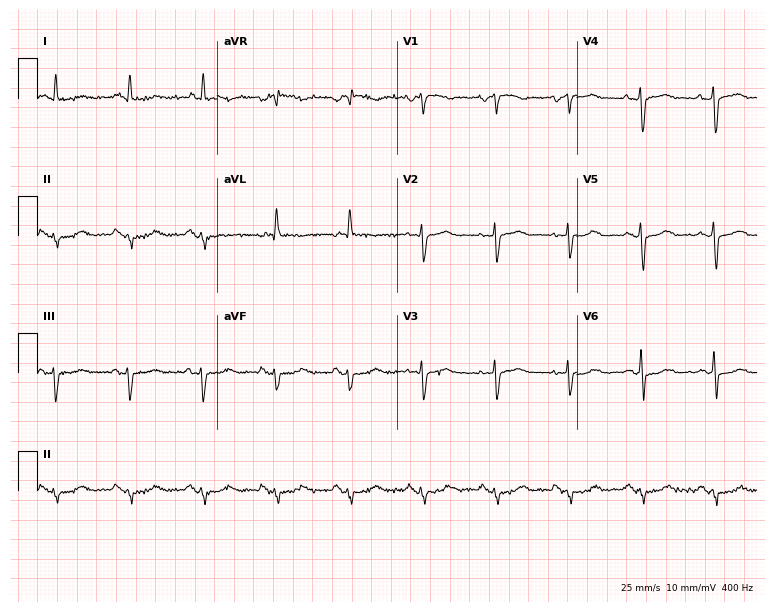
12-lead ECG from a female patient, 74 years old. Screened for six findings — first-degree AV block, right bundle branch block, left bundle branch block, sinus bradycardia, atrial fibrillation, sinus tachycardia — none is recorded. Only these six findings were labelled.